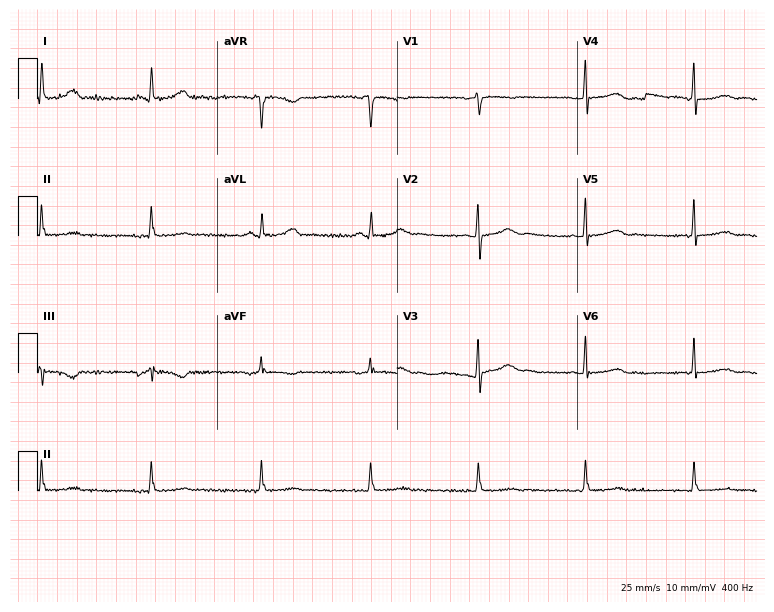
Resting 12-lead electrocardiogram (7.3-second recording at 400 Hz). Patient: a 45-year-old woman. None of these six findings is recorded: first-degree AV block, right bundle branch block, left bundle branch block, sinus bradycardia, atrial fibrillation, sinus tachycardia. Other findings, if any, are not listed.